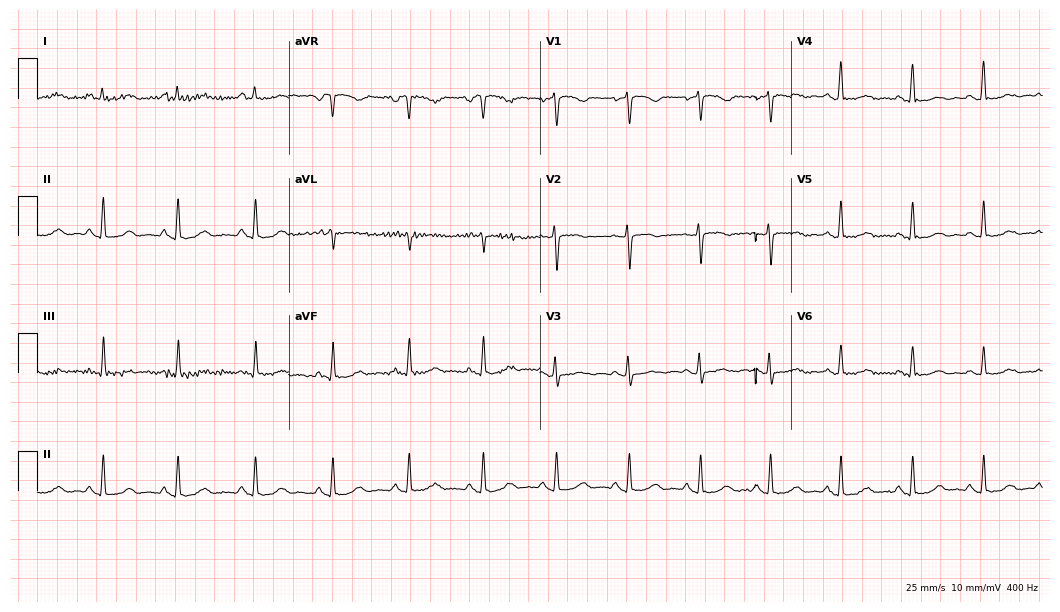
12-lead ECG from a woman, 56 years old (10.2-second recording at 400 Hz). No first-degree AV block, right bundle branch block, left bundle branch block, sinus bradycardia, atrial fibrillation or sinus tachycardia recorded for this tracing.